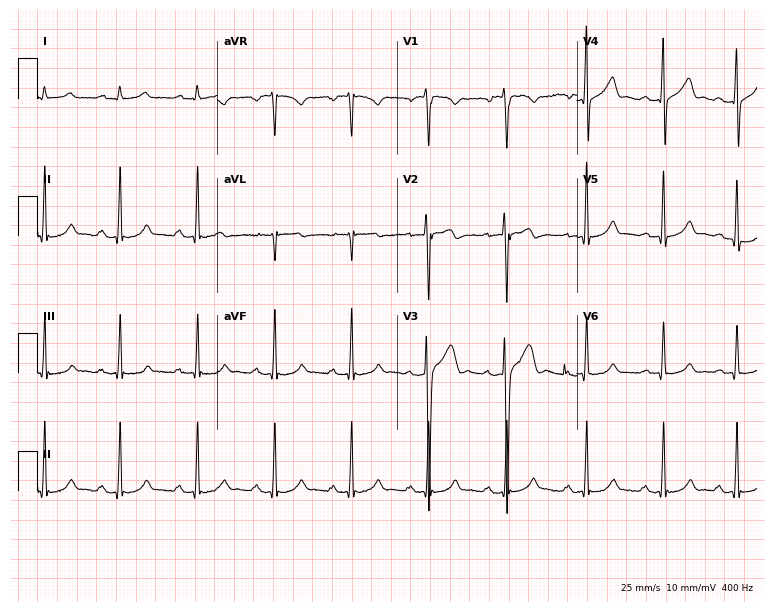
Standard 12-lead ECG recorded from a 28-year-old male patient (7.3-second recording at 400 Hz). Read as a normal ECG.